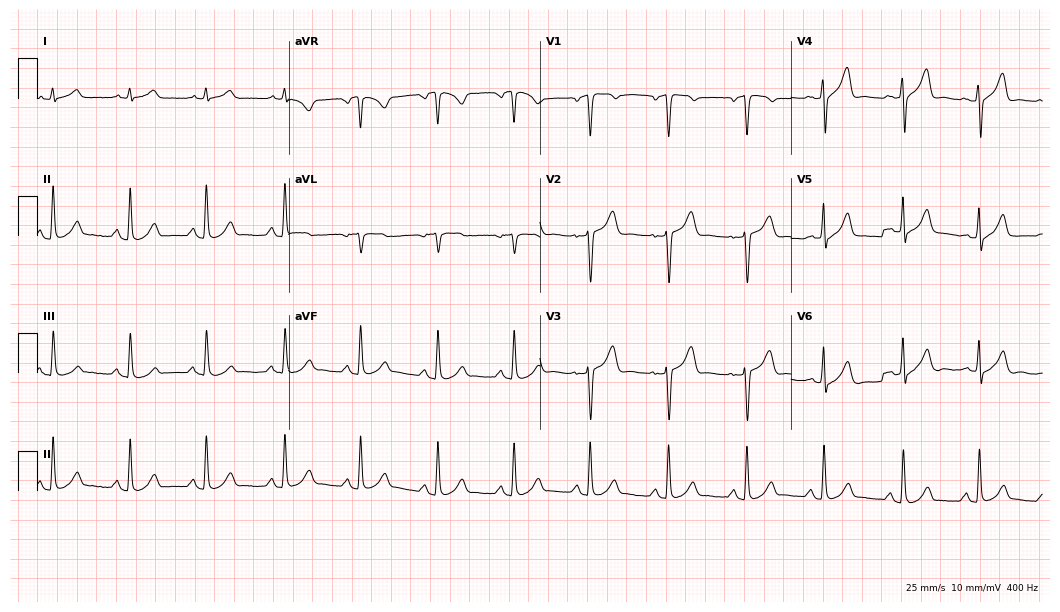
Resting 12-lead electrocardiogram. Patient: a 59-year-old man. Read as a normal ECG.